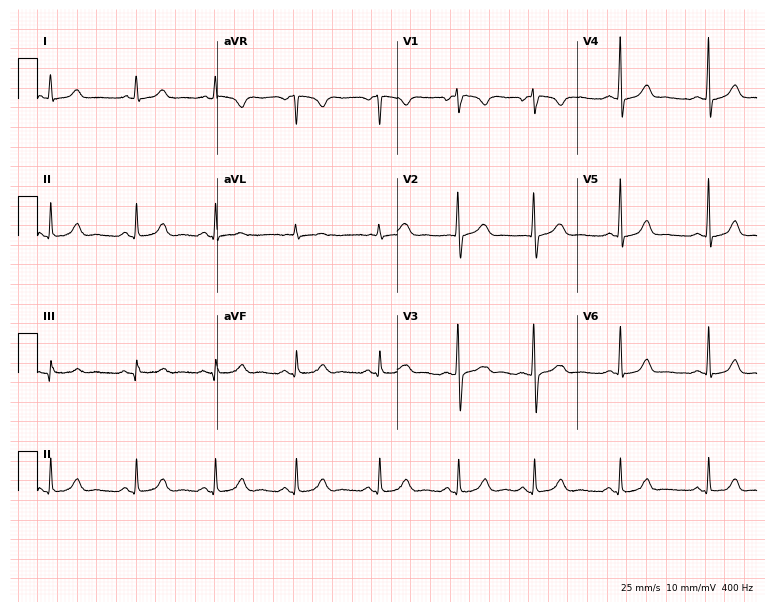
ECG (7.3-second recording at 400 Hz) — a female patient, 19 years old. Labelled as a normal ECG.